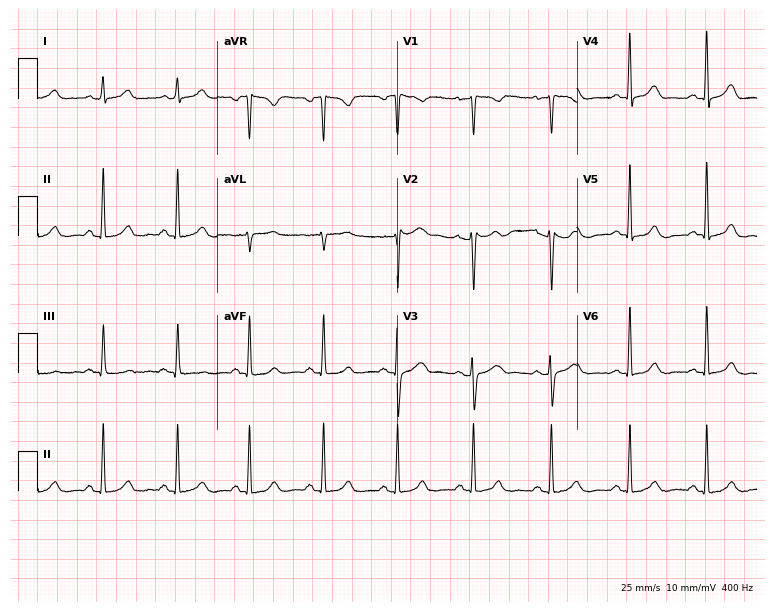
Standard 12-lead ECG recorded from a female, 37 years old. Read as a normal ECG.